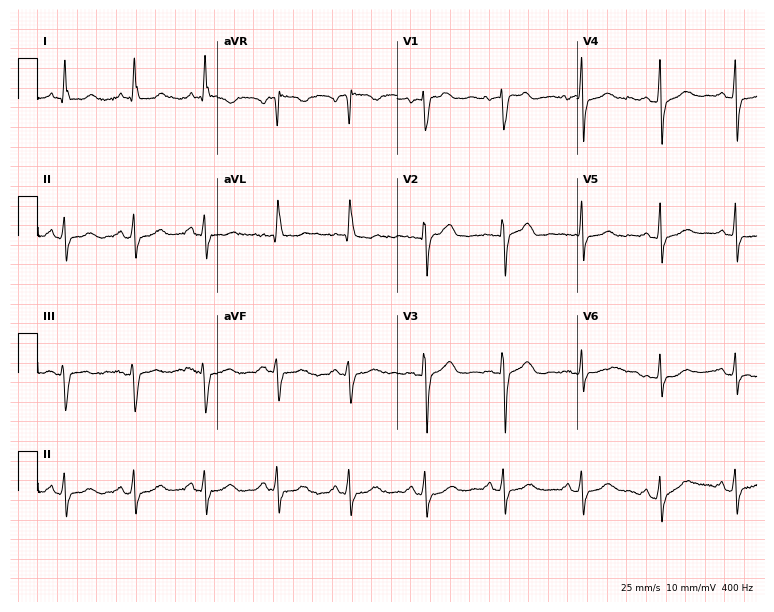
12-lead ECG from a 64-year-old woman. Screened for six findings — first-degree AV block, right bundle branch block (RBBB), left bundle branch block (LBBB), sinus bradycardia, atrial fibrillation (AF), sinus tachycardia — none is recorded.